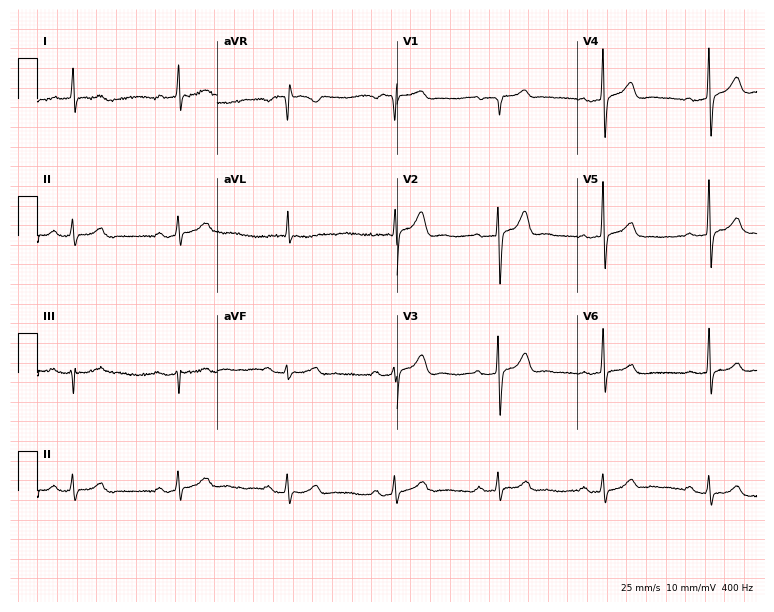
12-lead ECG from a male, 61 years old. Labelled as a normal ECG.